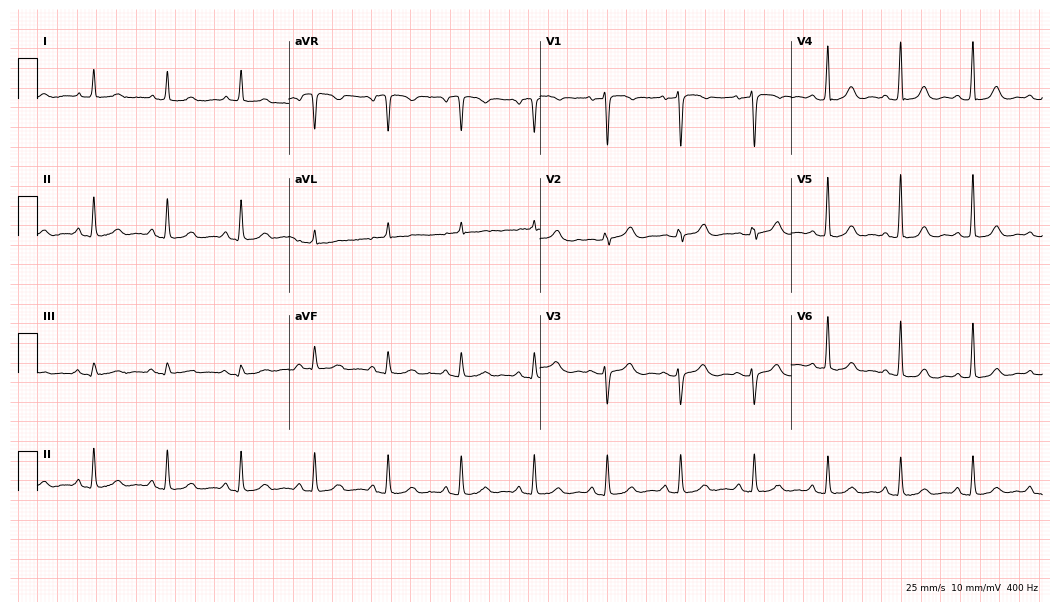
12-lead ECG from a 75-year-old woman (10.2-second recording at 400 Hz). No first-degree AV block, right bundle branch block (RBBB), left bundle branch block (LBBB), sinus bradycardia, atrial fibrillation (AF) or sinus tachycardia recorded for this tracing.